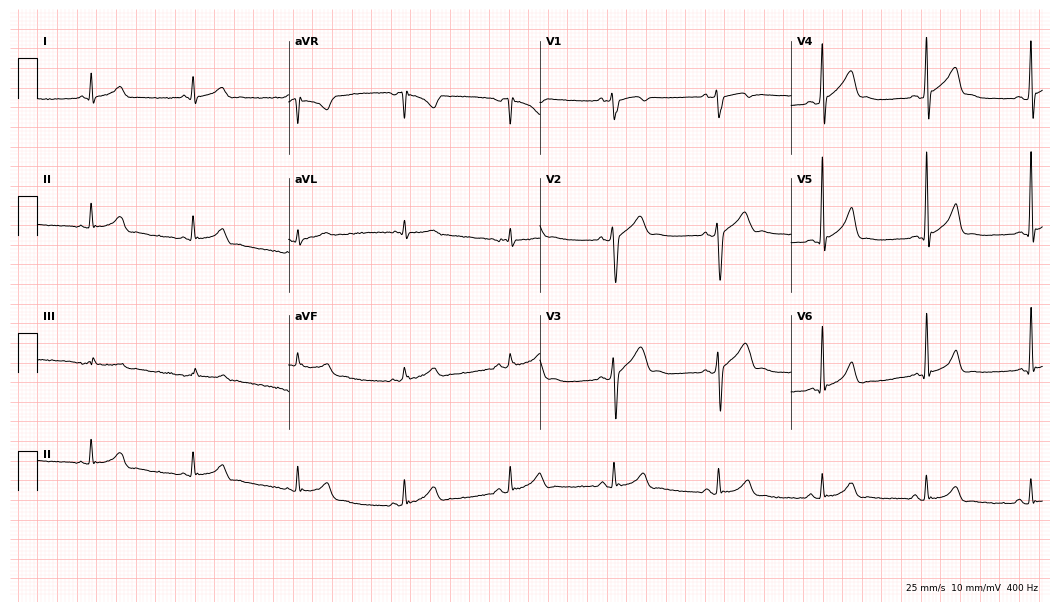
Resting 12-lead electrocardiogram. Patient: a man, 33 years old. None of these six findings is recorded: first-degree AV block, right bundle branch block (RBBB), left bundle branch block (LBBB), sinus bradycardia, atrial fibrillation (AF), sinus tachycardia.